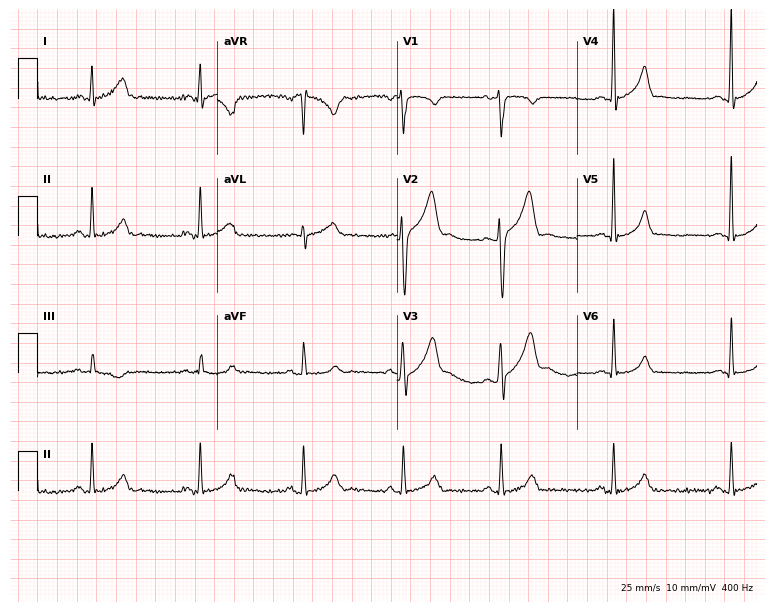
12-lead ECG from a 24-year-old male. Screened for six findings — first-degree AV block, right bundle branch block (RBBB), left bundle branch block (LBBB), sinus bradycardia, atrial fibrillation (AF), sinus tachycardia — none is recorded. Only these six findings were labelled.